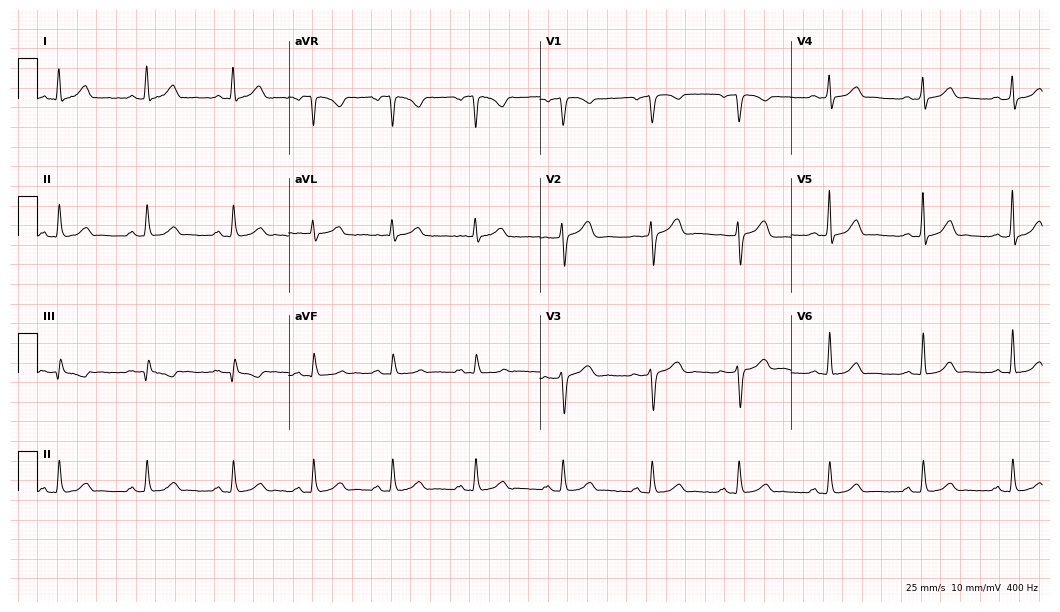
Standard 12-lead ECG recorded from a female patient, 44 years old. Read as a normal ECG.